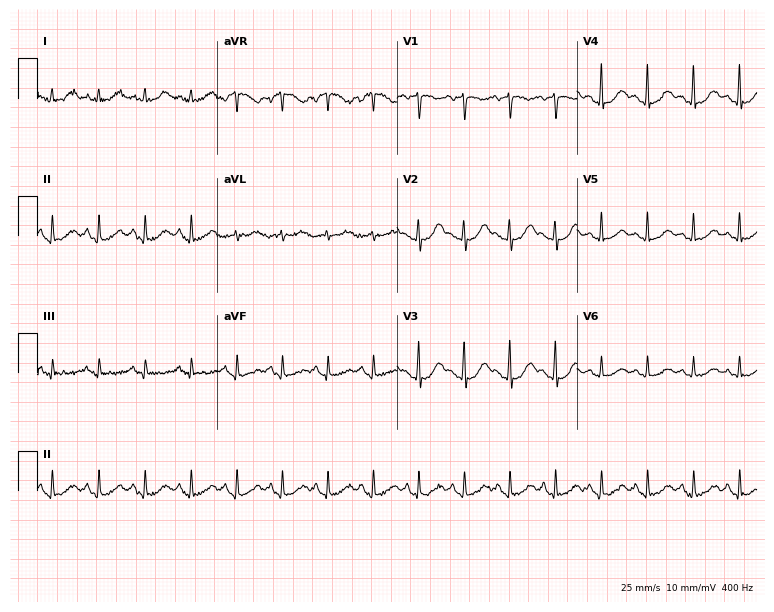
Electrocardiogram, a woman, 46 years old. Interpretation includes sinus tachycardia (a sinus rate of 100 beats per minute or more).